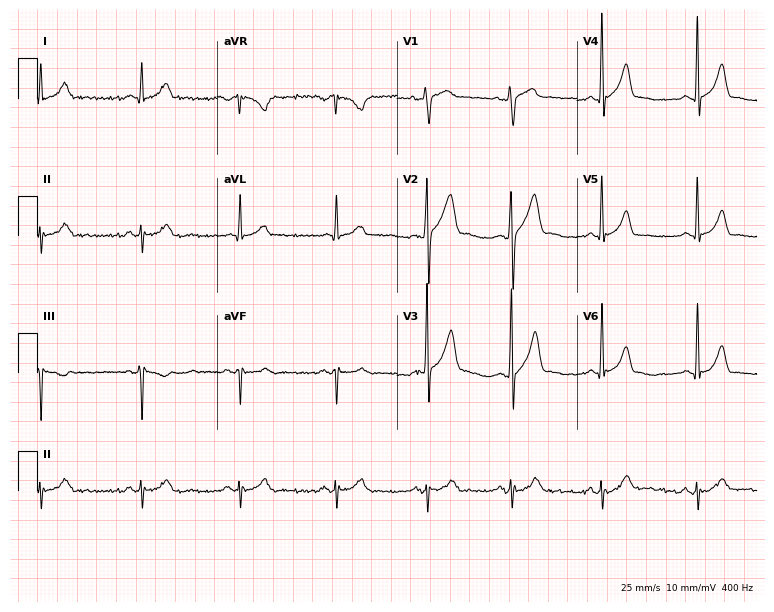
Standard 12-lead ECG recorded from a male, 27 years old. None of these six findings is recorded: first-degree AV block, right bundle branch block, left bundle branch block, sinus bradycardia, atrial fibrillation, sinus tachycardia.